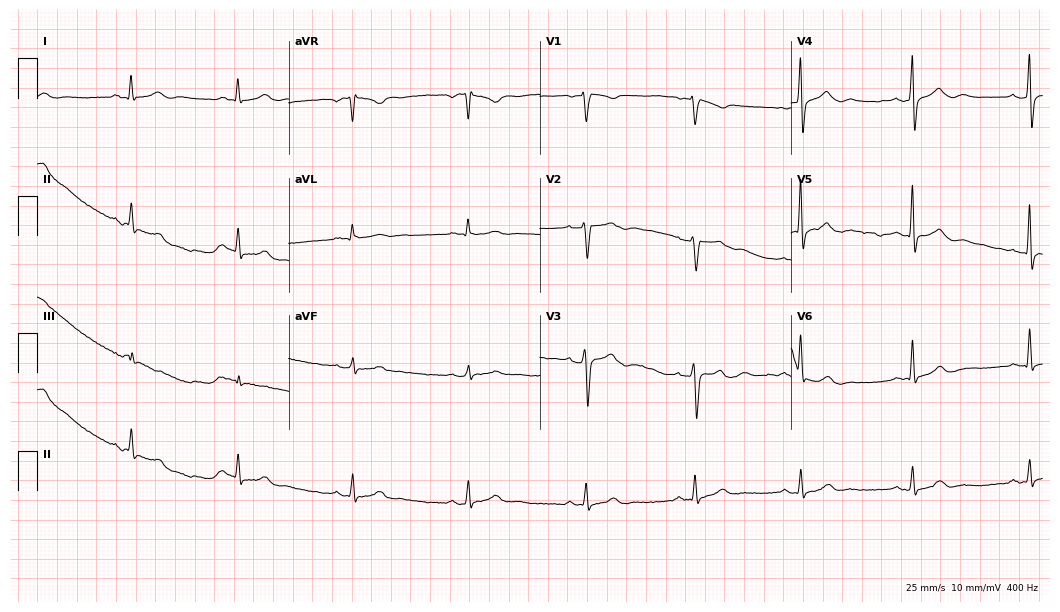
Standard 12-lead ECG recorded from a 42-year-old man. None of these six findings is recorded: first-degree AV block, right bundle branch block (RBBB), left bundle branch block (LBBB), sinus bradycardia, atrial fibrillation (AF), sinus tachycardia. Only these six findings were labelled.